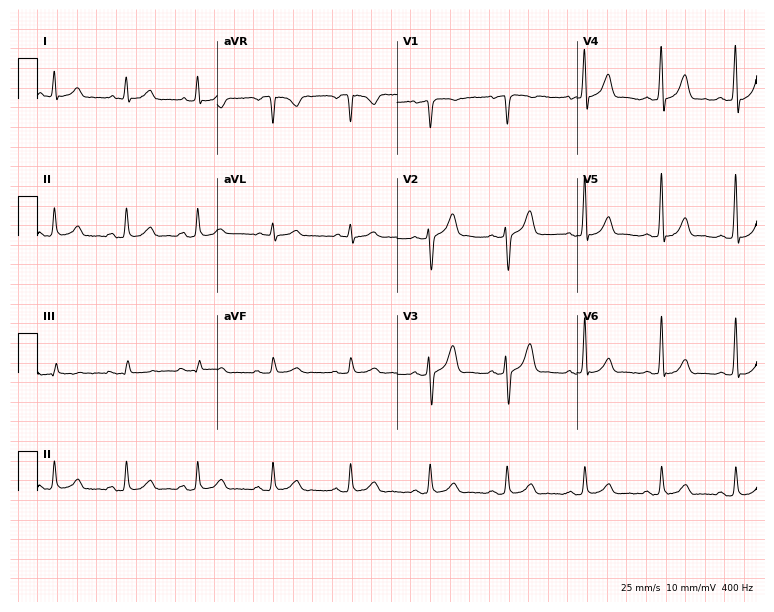
Standard 12-lead ECG recorded from a male, 42 years old. None of these six findings is recorded: first-degree AV block, right bundle branch block, left bundle branch block, sinus bradycardia, atrial fibrillation, sinus tachycardia. Findings outside these six are not listed.